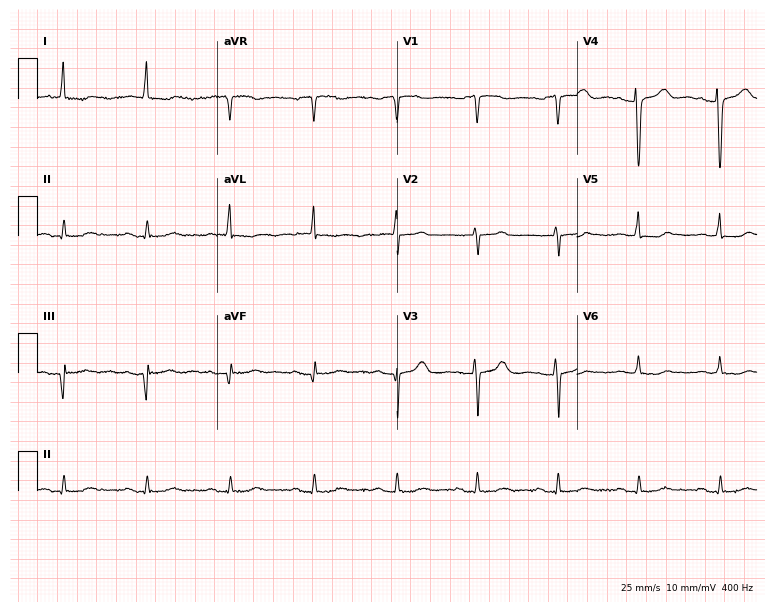
12-lead ECG from an 84-year-old woman (7.3-second recording at 400 Hz). No first-degree AV block, right bundle branch block, left bundle branch block, sinus bradycardia, atrial fibrillation or sinus tachycardia recorded for this tracing. Other findings, if any, are not listed.